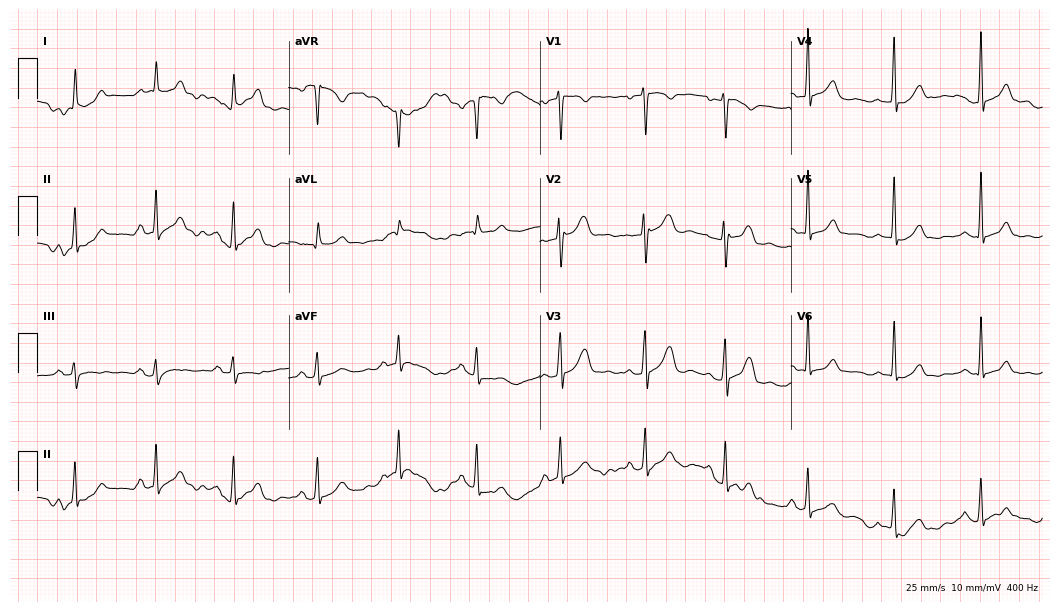
12-lead ECG (10.2-second recording at 400 Hz) from a woman, 39 years old. Labelled as a normal ECG.